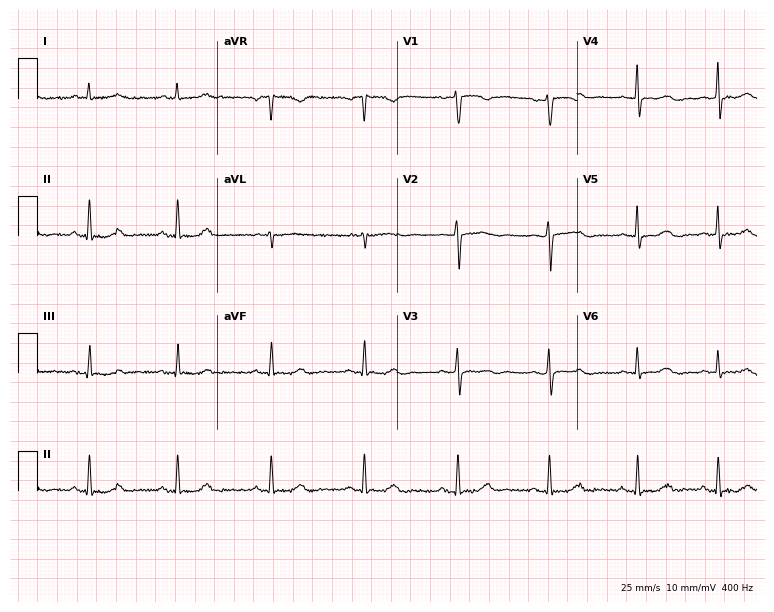
Standard 12-lead ECG recorded from a female patient, 53 years old. Read as a normal ECG.